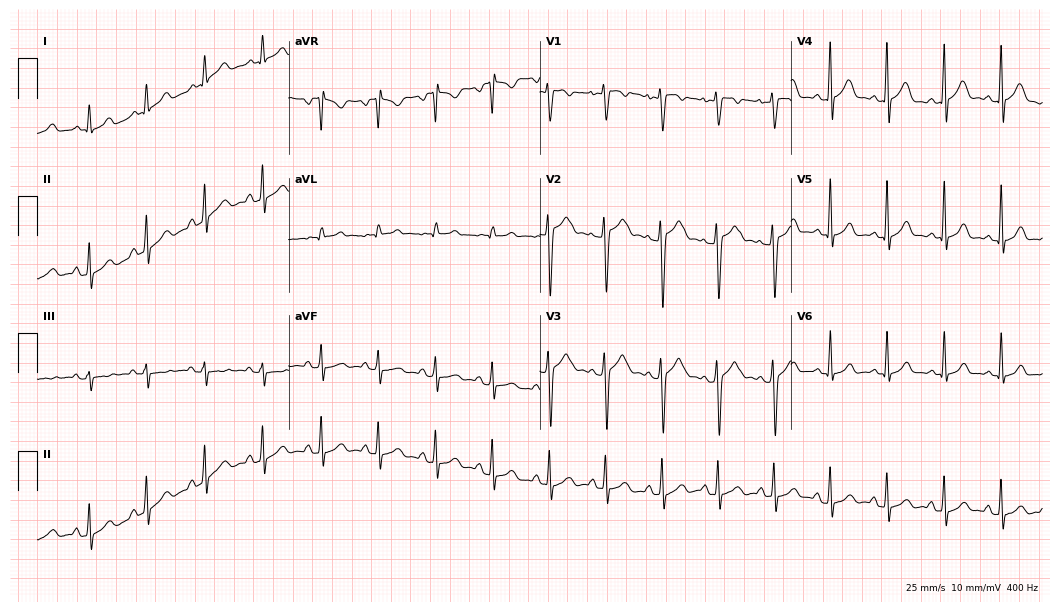
Resting 12-lead electrocardiogram (10.2-second recording at 400 Hz). Patient: a 21-year-old female. The tracing shows sinus tachycardia (a sinus rate of 100 beats per minute or more).